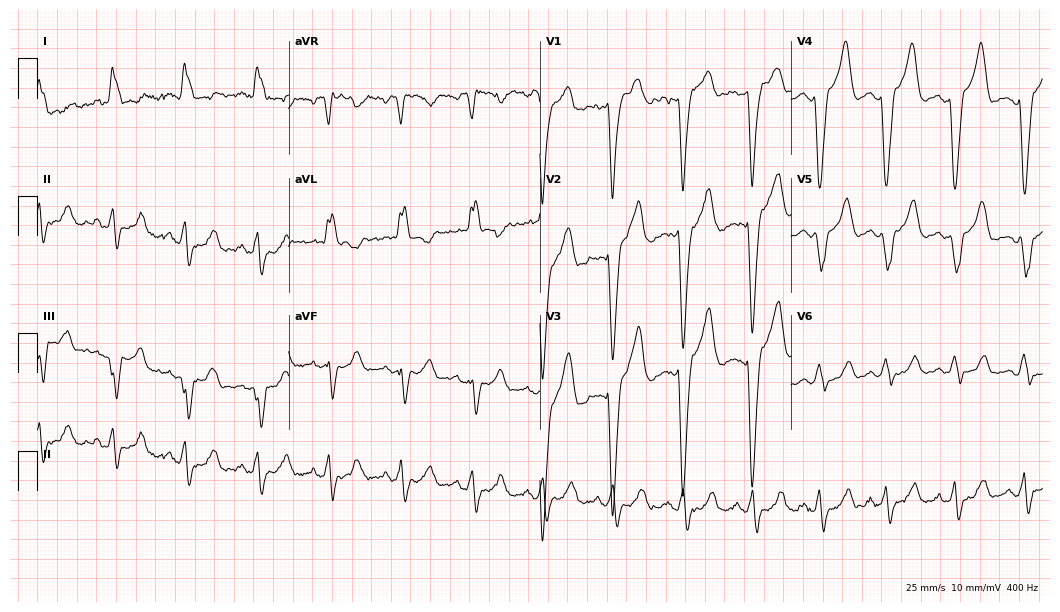
ECG — a female, 34 years old. Findings include left bundle branch block.